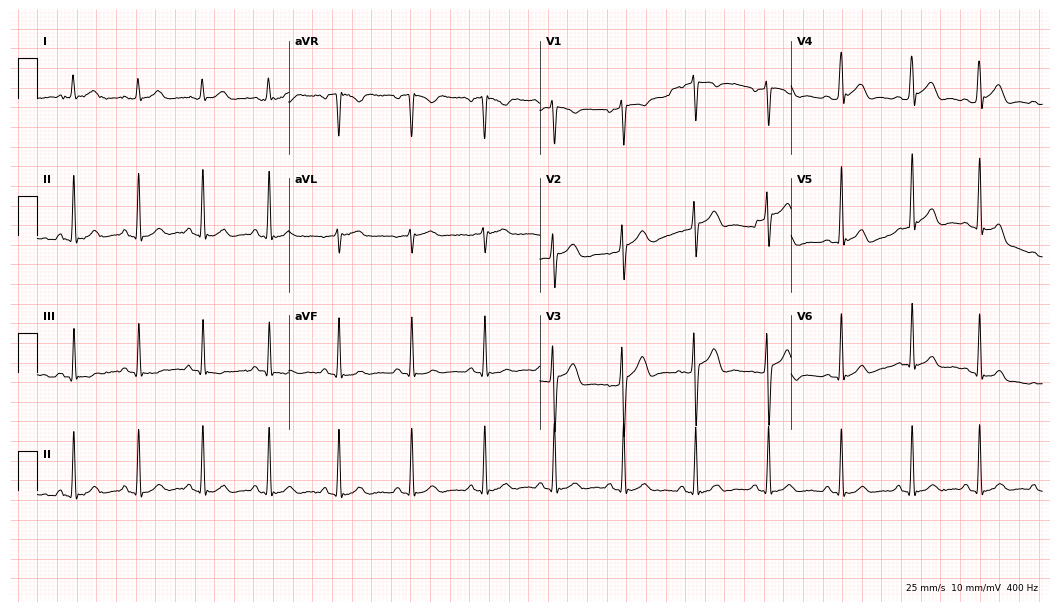
ECG (10.2-second recording at 400 Hz) — a male, 21 years old. Labelled as a normal ECG.